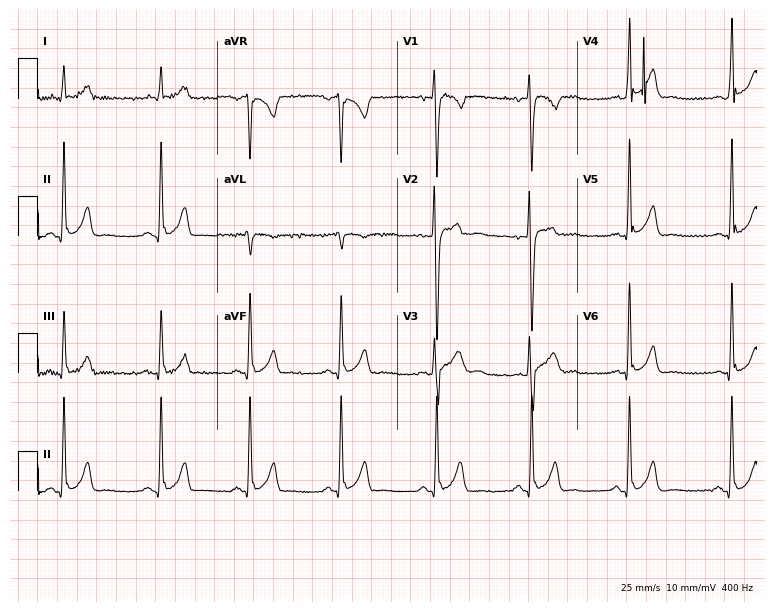
ECG — a male patient, 25 years old. Labelled as a normal ECG.